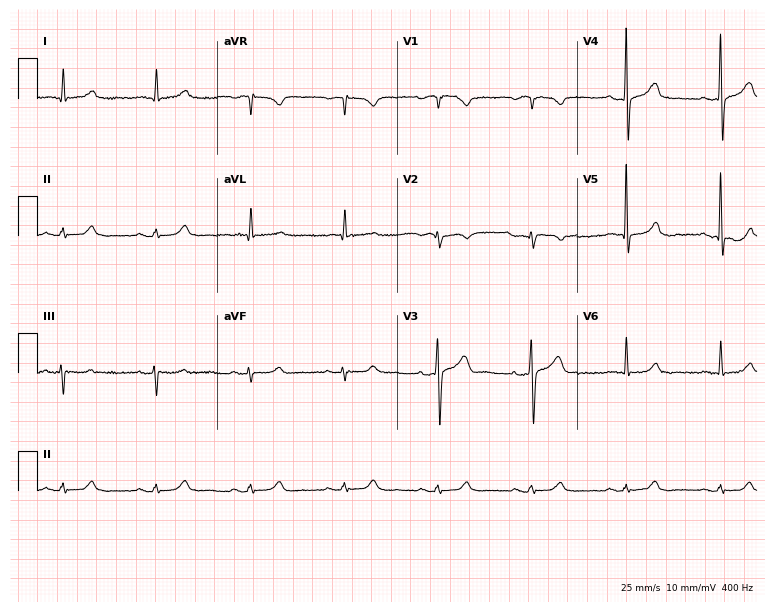
12-lead ECG from a man, 83 years old (7.3-second recording at 400 Hz). Recorded interpretation: within normal limits.